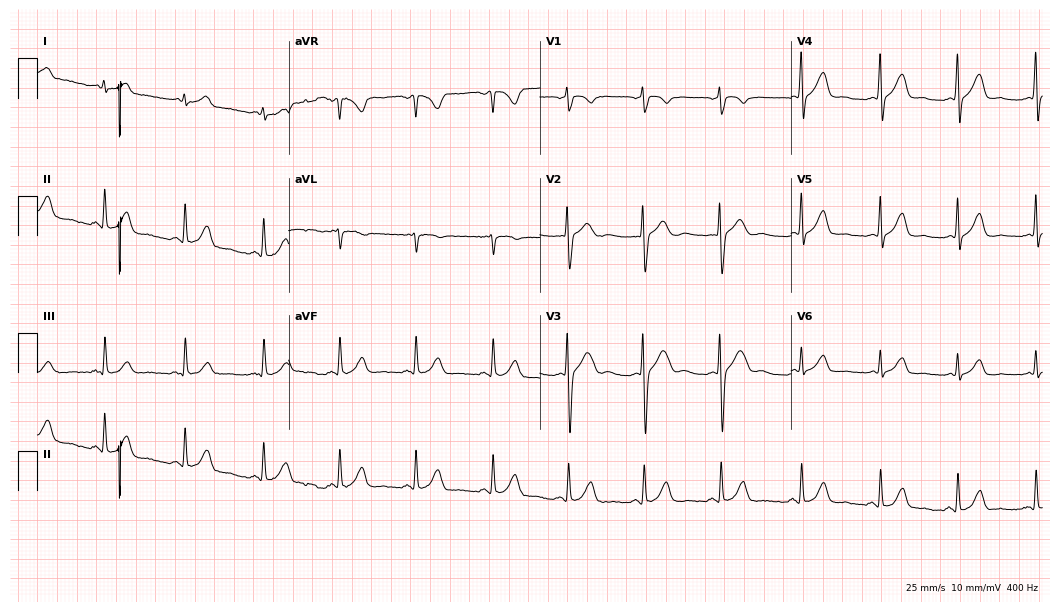
Resting 12-lead electrocardiogram. Patient: a female, 48 years old. None of these six findings is recorded: first-degree AV block, right bundle branch block, left bundle branch block, sinus bradycardia, atrial fibrillation, sinus tachycardia.